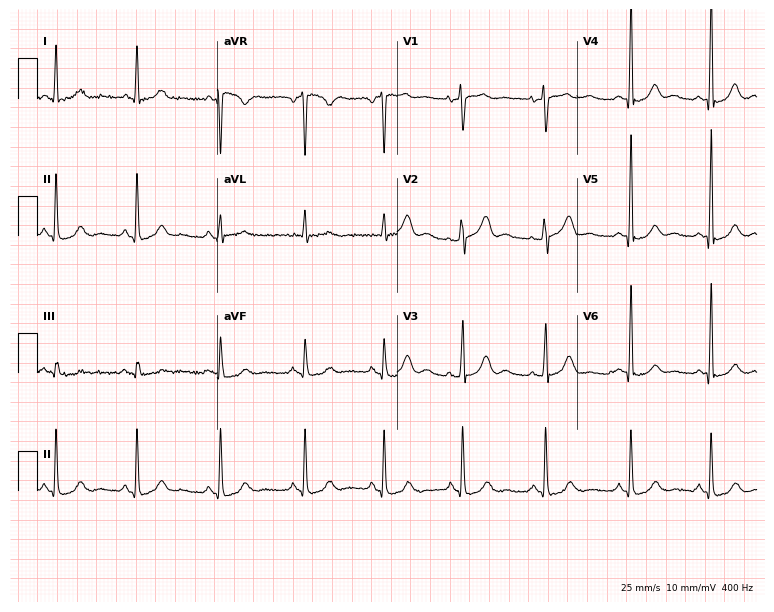
12-lead ECG from a 53-year-old female patient (7.3-second recording at 400 Hz). Recorded interpretation: within normal limits.